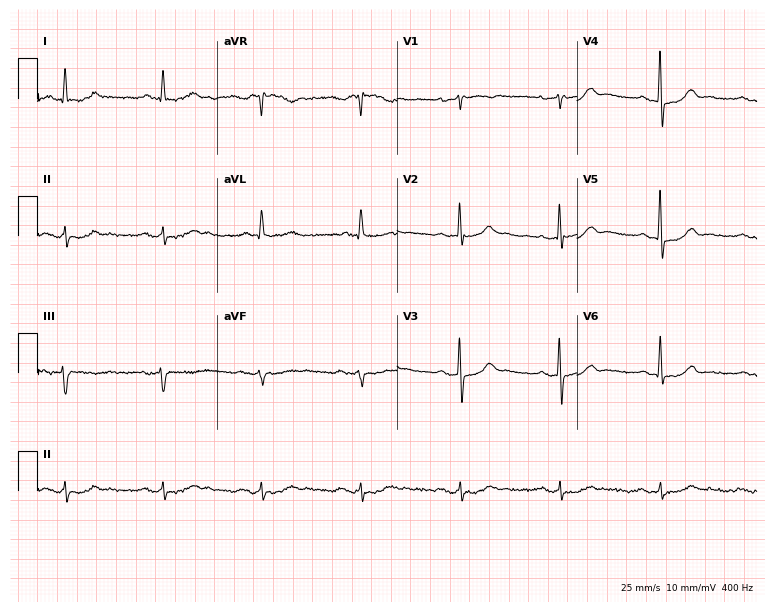
Resting 12-lead electrocardiogram. Patient: a 75-year-old man. Read as a normal ECG.